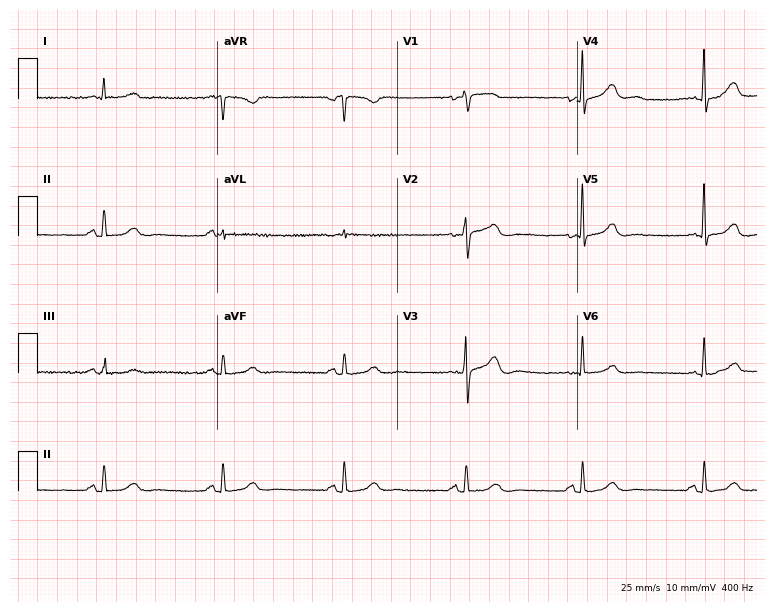
12-lead ECG from a 74-year-old female (7.3-second recording at 400 Hz). Shows sinus bradycardia (a sinus rate of 50 beats per minute or less).